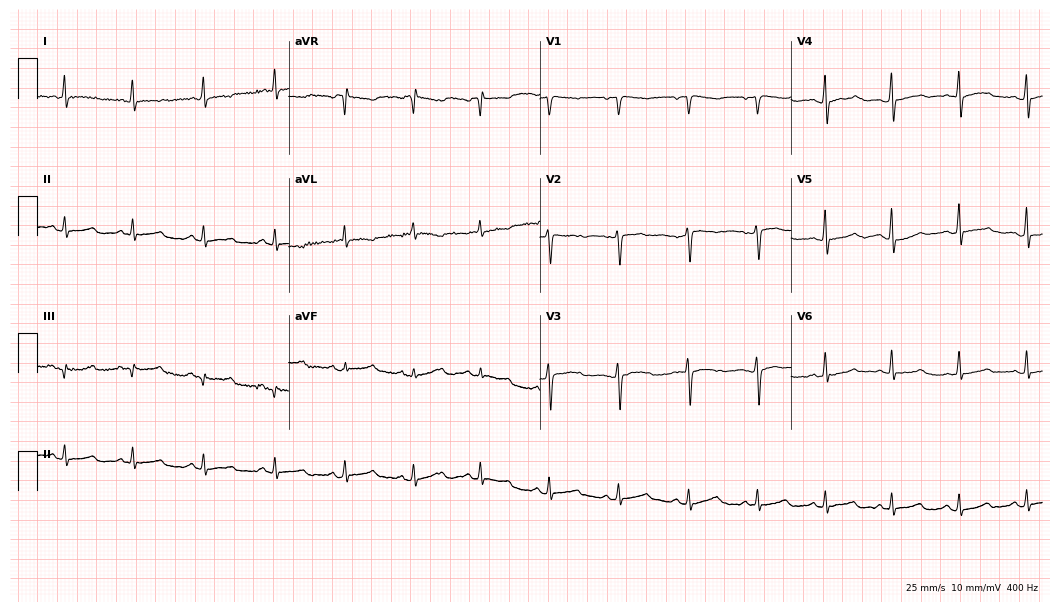
Resting 12-lead electrocardiogram (10.2-second recording at 400 Hz). Patient: a 45-year-old female. None of these six findings is recorded: first-degree AV block, right bundle branch block, left bundle branch block, sinus bradycardia, atrial fibrillation, sinus tachycardia. Other findings, if any, are not listed.